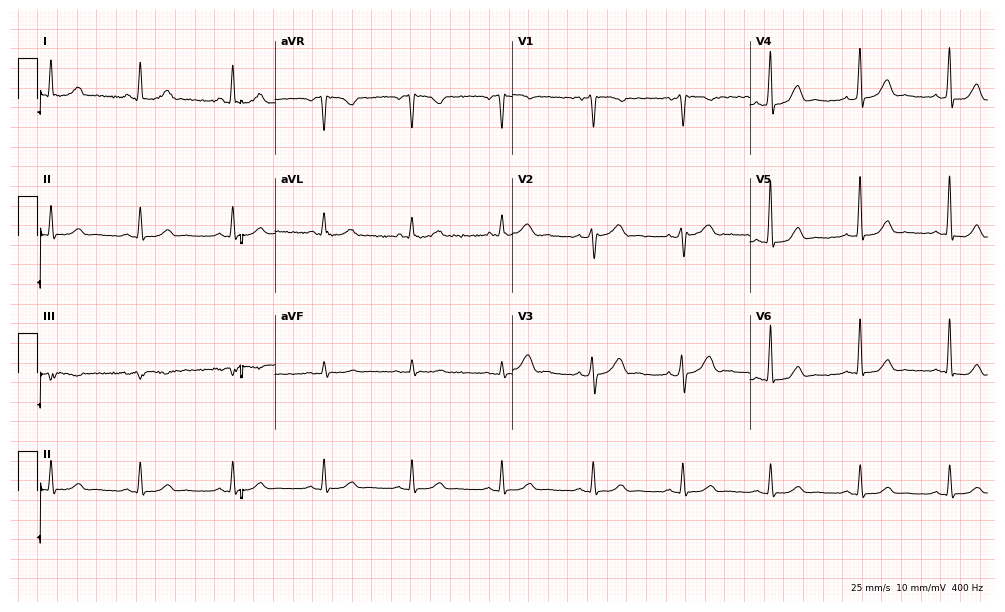
12-lead ECG (9.7-second recording at 400 Hz) from a 41-year-old woman. Labelled as a normal ECG.